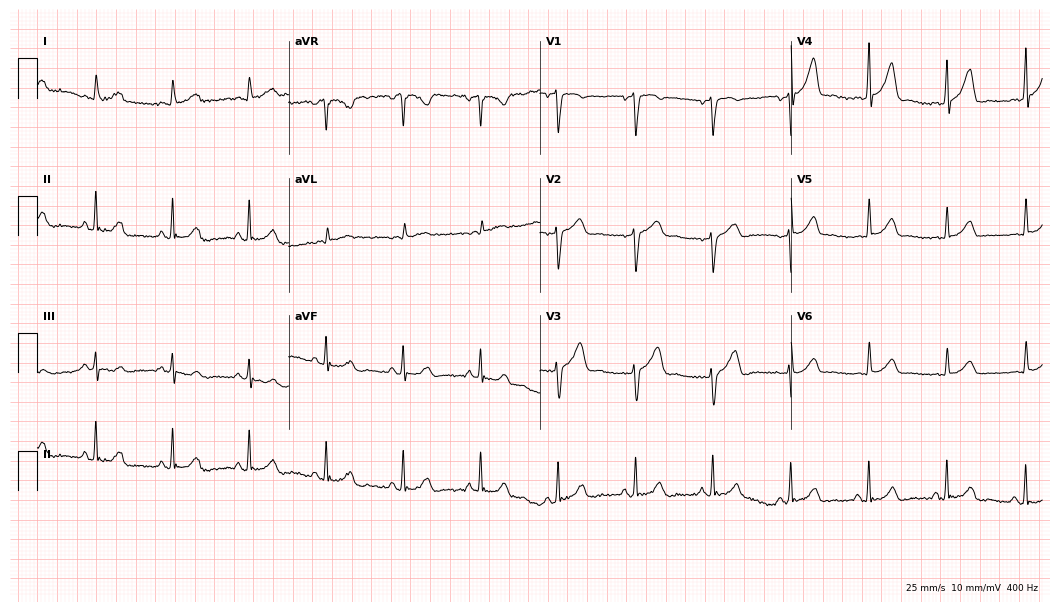
Electrocardiogram, a male patient, 70 years old. Overall reading on record: normal ECG.